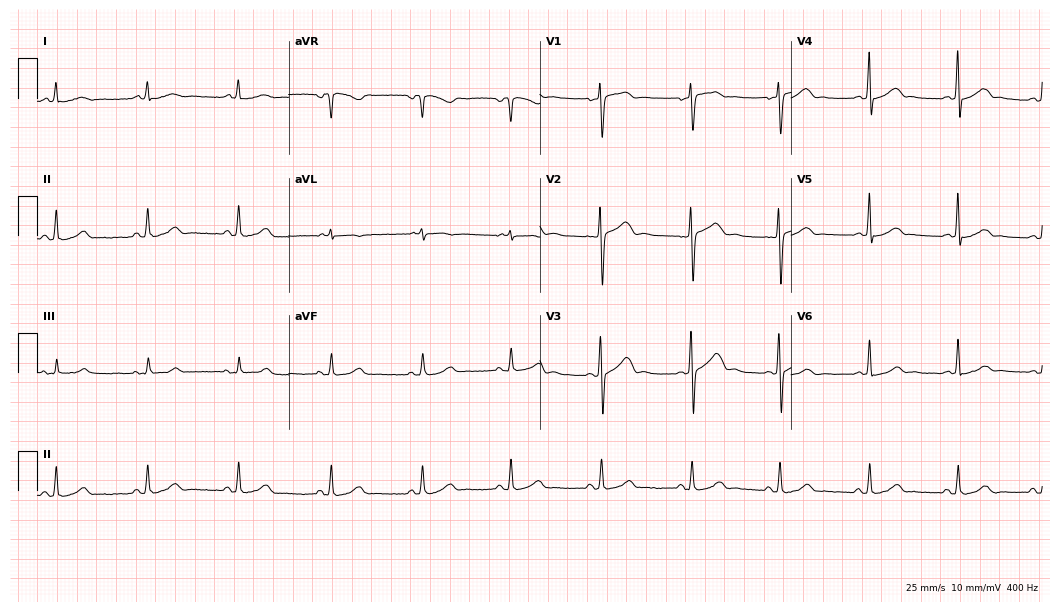
Standard 12-lead ECG recorded from a woman, 45 years old (10.2-second recording at 400 Hz). Read as a normal ECG.